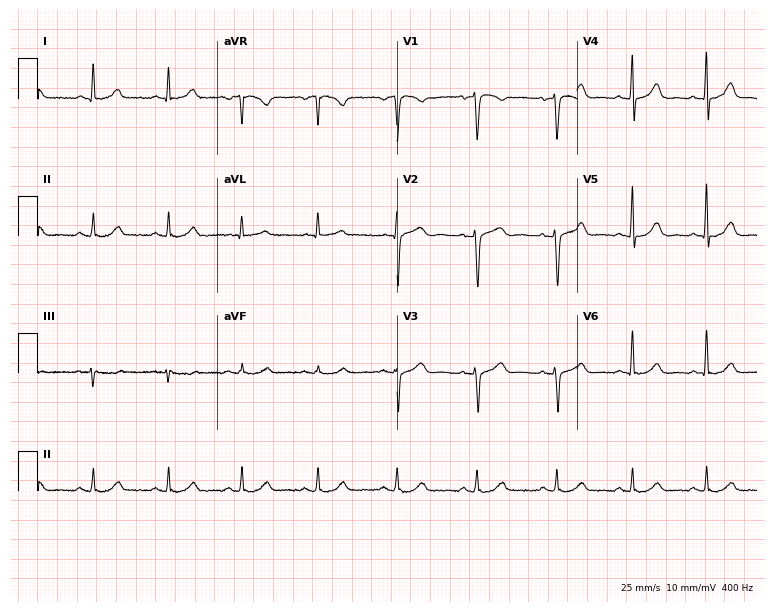
ECG — a 55-year-old woman. Labelled as a normal ECG.